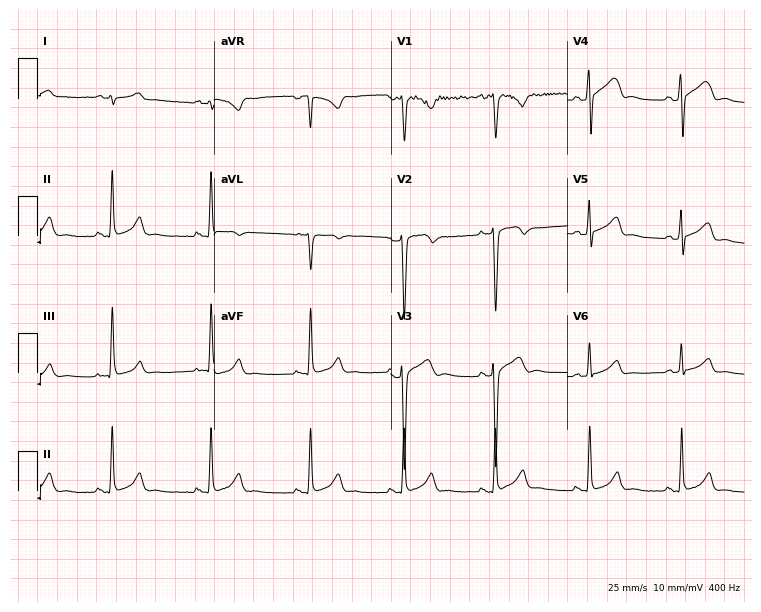
Resting 12-lead electrocardiogram (7.2-second recording at 400 Hz). Patient: a man, 19 years old. None of these six findings is recorded: first-degree AV block, right bundle branch block (RBBB), left bundle branch block (LBBB), sinus bradycardia, atrial fibrillation (AF), sinus tachycardia.